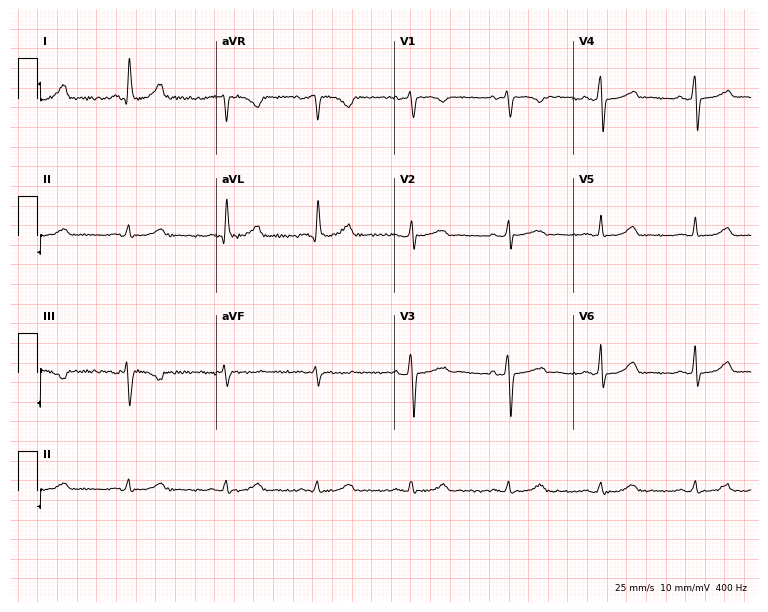
12-lead ECG from a female, 45 years old. No first-degree AV block, right bundle branch block (RBBB), left bundle branch block (LBBB), sinus bradycardia, atrial fibrillation (AF) or sinus tachycardia recorded for this tracing.